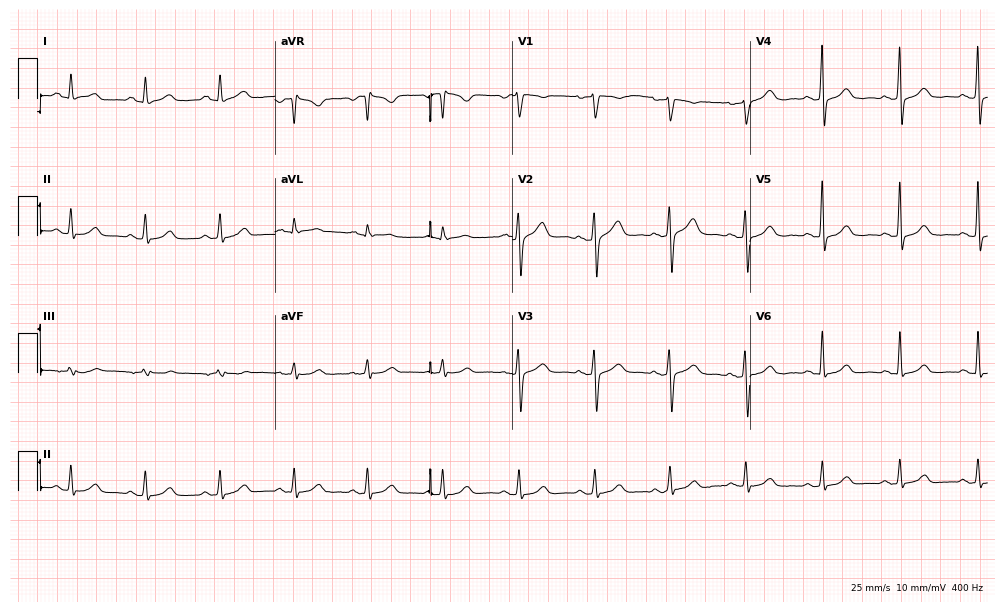
12-lead ECG from a 37-year-old female patient. Labelled as a normal ECG.